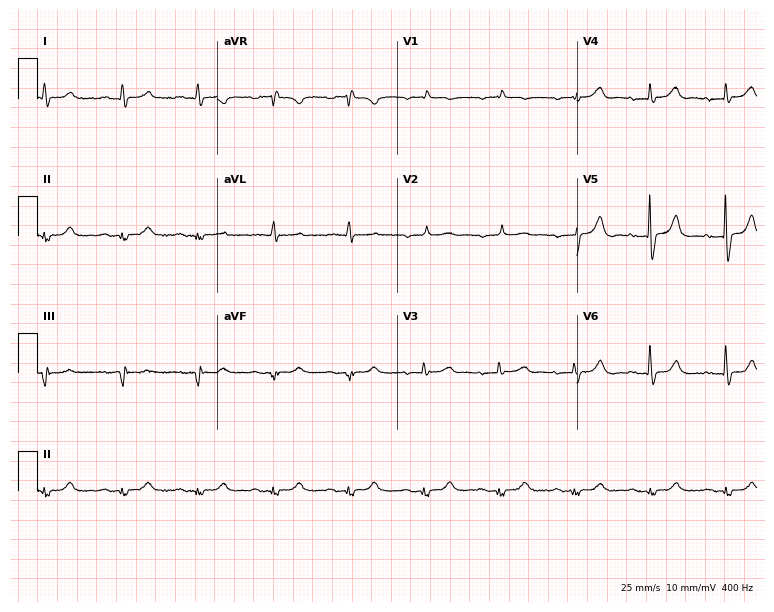
12-lead ECG from a 79-year-old female. Screened for six findings — first-degree AV block, right bundle branch block, left bundle branch block, sinus bradycardia, atrial fibrillation, sinus tachycardia — none is recorded.